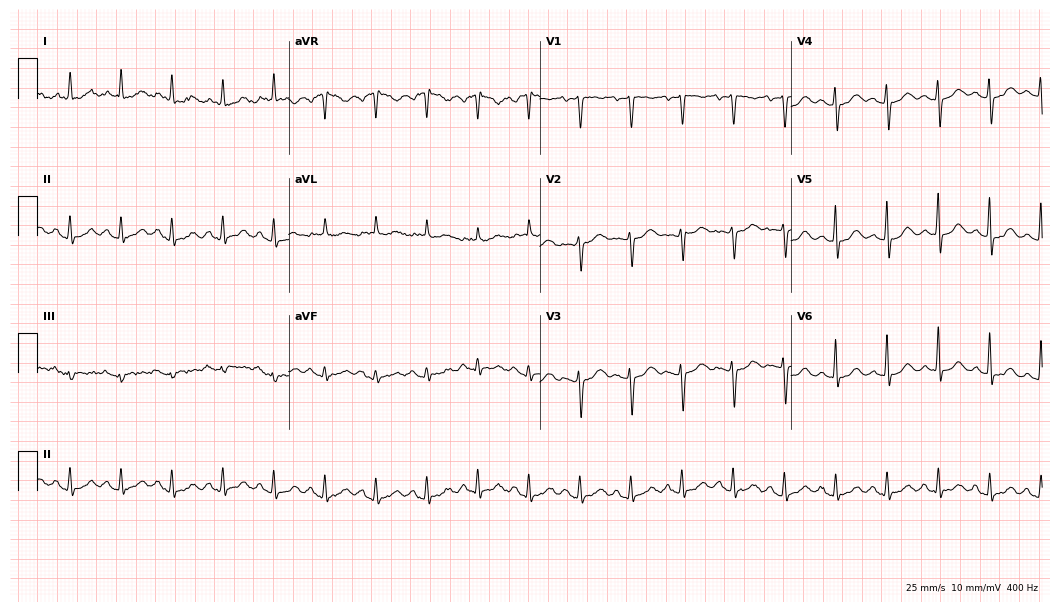
Resting 12-lead electrocardiogram. Patient: a female, 82 years old. The tracing shows sinus tachycardia (a sinus rate of 100 beats per minute or more).